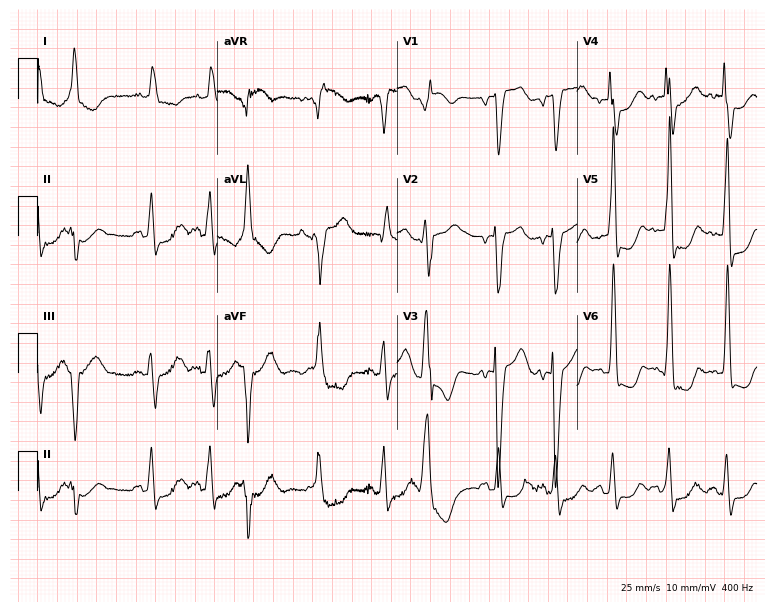
12-lead ECG (7.3-second recording at 400 Hz) from a female patient, 81 years old. Findings include left bundle branch block.